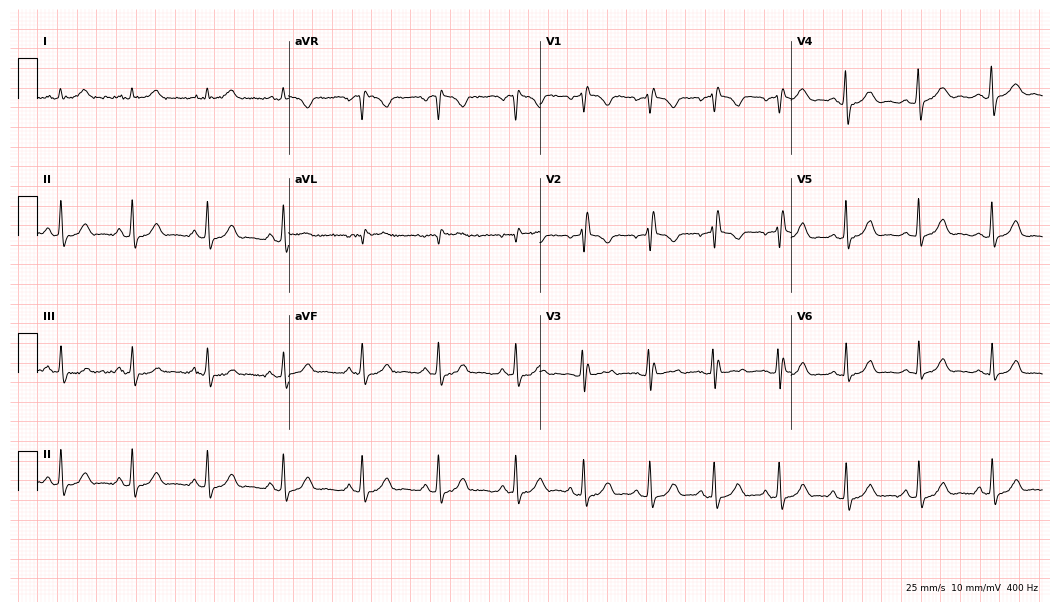
12-lead ECG (10.2-second recording at 400 Hz) from a female, 34 years old. Screened for six findings — first-degree AV block, right bundle branch block, left bundle branch block, sinus bradycardia, atrial fibrillation, sinus tachycardia — none is recorded.